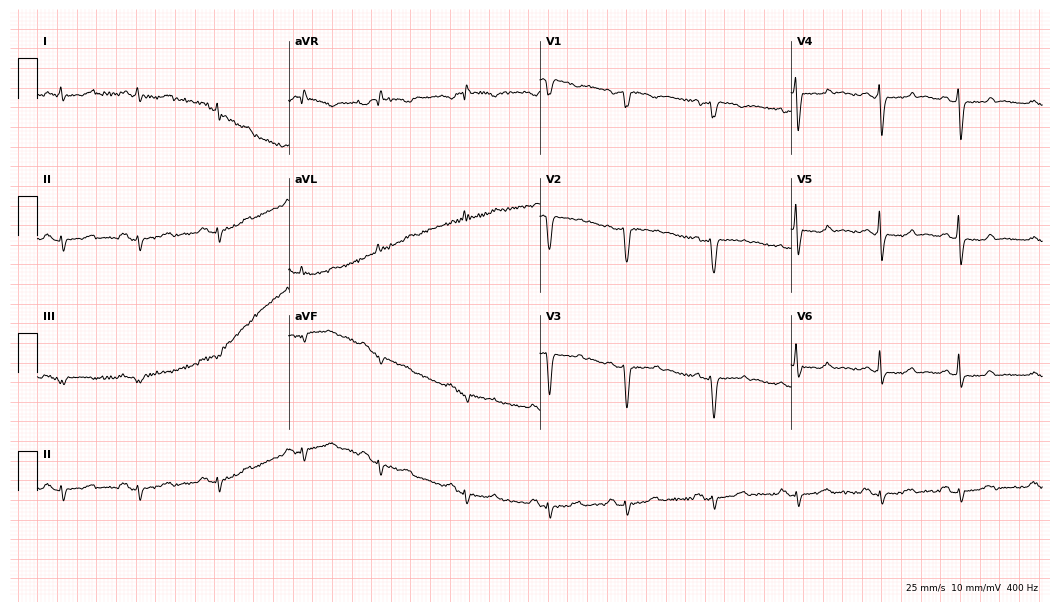
Resting 12-lead electrocardiogram. Patient: a 58-year-old female. None of these six findings is recorded: first-degree AV block, right bundle branch block, left bundle branch block, sinus bradycardia, atrial fibrillation, sinus tachycardia.